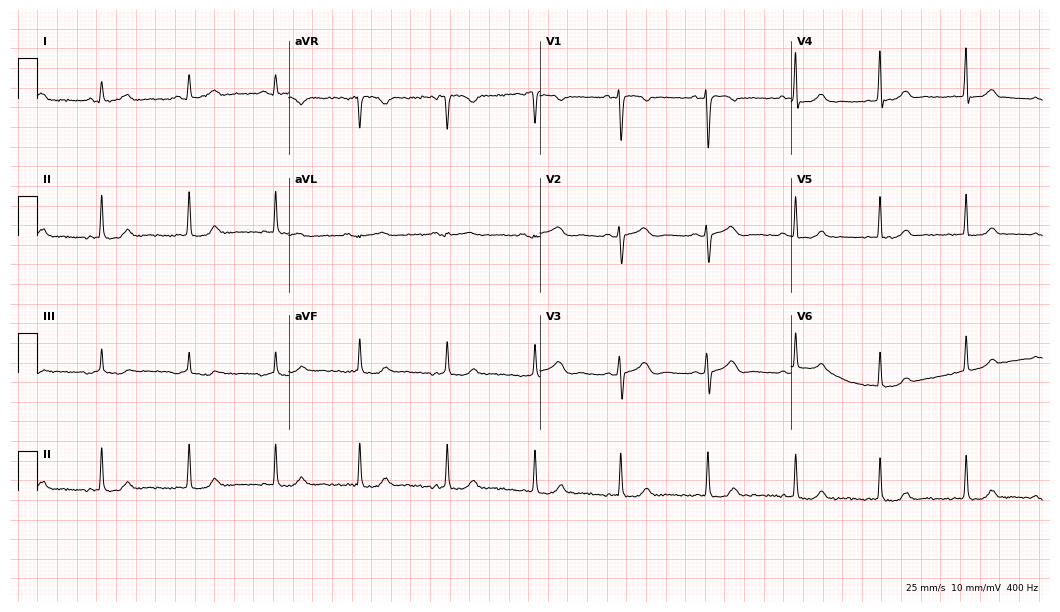
12-lead ECG (10.2-second recording at 400 Hz) from a 19-year-old female patient. Labelled as a normal ECG.